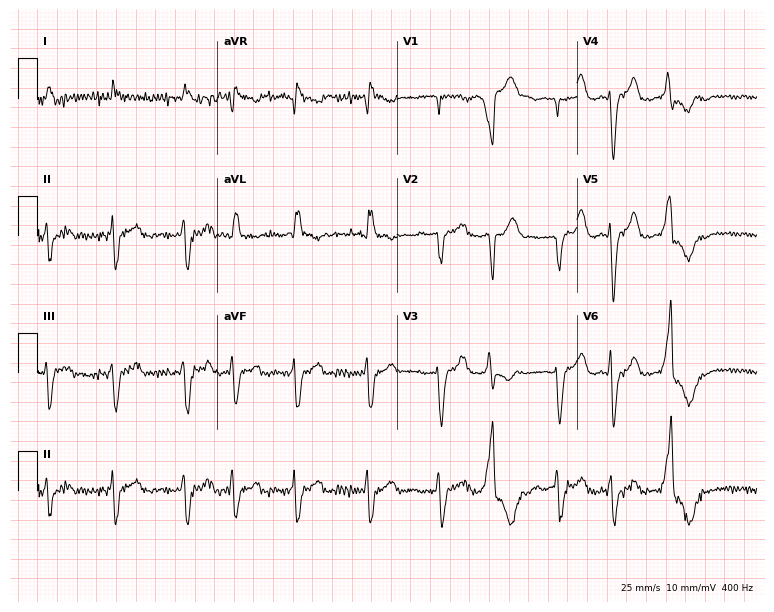
Electrocardiogram (7.3-second recording at 400 Hz), an 84-year-old woman. Of the six screened findings (first-degree AV block, right bundle branch block, left bundle branch block, sinus bradycardia, atrial fibrillation, sinus tachycardia), none is recorded. Only these six findings were labelled.